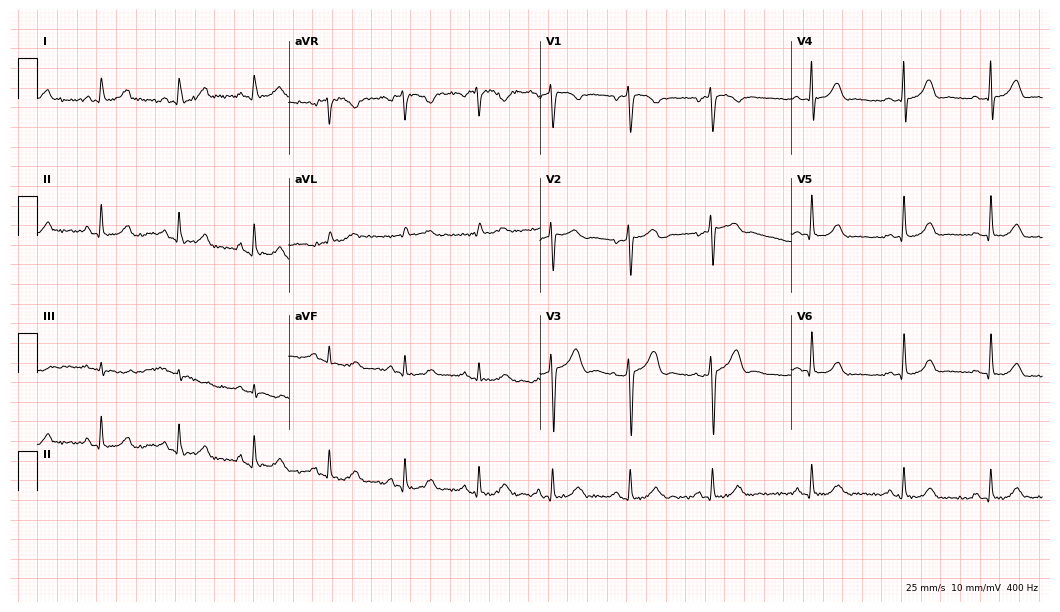
Electrocardiogram, a 59-year-old male. Of the six screened findings (first-degree AV block, right bundle branch block, left bundle branch block, sinus bradycardia, atrial fibrillation, sinus tachycardia), none is recorded. Findings outside these six are not listed.